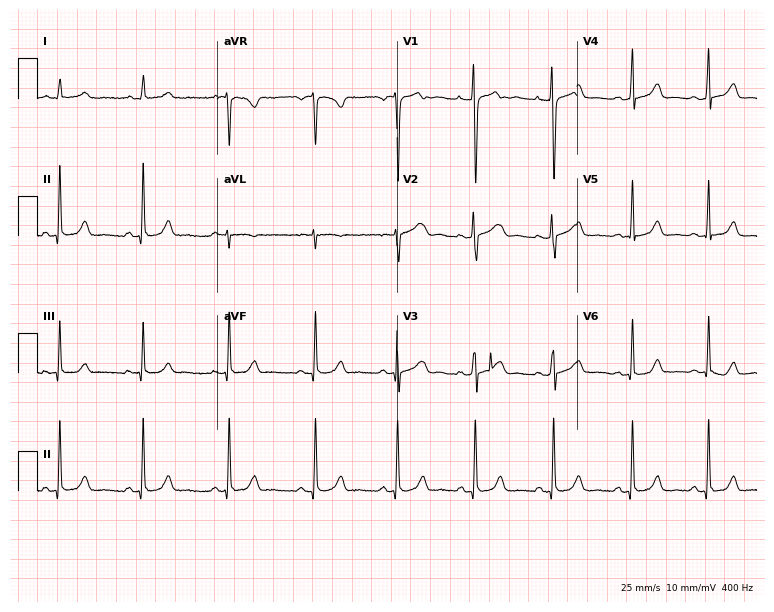
12-lead ECG from a 17-year-old woman (7.3-second recording at 400 Hz). Recorded interpretation: within normal limits.